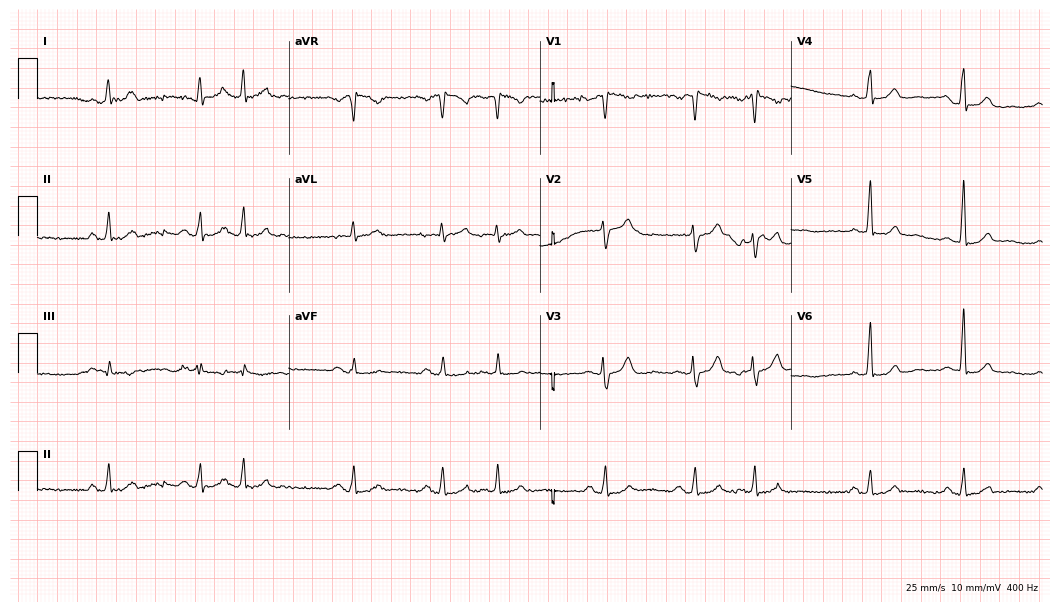
Resting 12-lead electrocardiogram. Patient: a 50-year-old male. None of these six findings is recorded: first-degree AV block, right bundle branch block (RBBB), left bundle branch block (LBBB), sinus bradycardia, atrial fibrillation (AF), sinus tachycardia. Other findings, if any, are not listed.